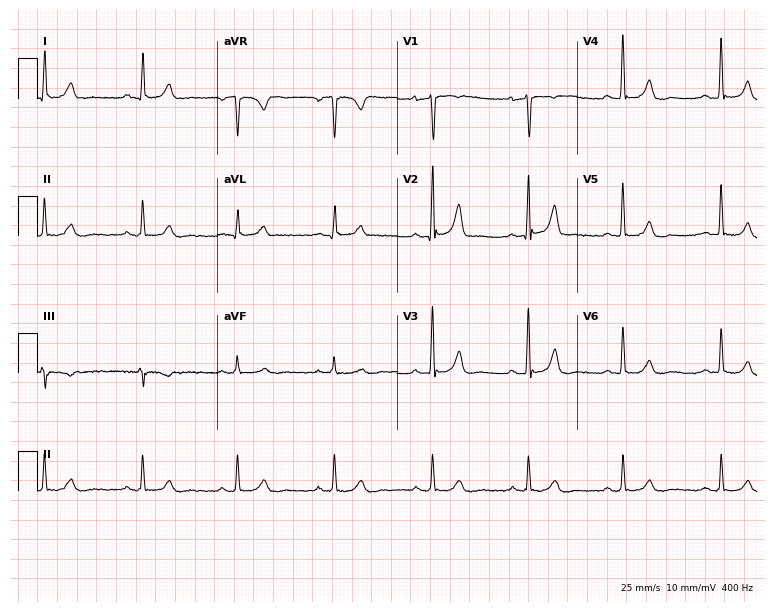
Electrocardiogram, a 57-year-old male patient. Of the six screened findings (first-degree AV block, right bundle branch block (RBBB), left bundle branch block (LBBB), sinus bradycardia, atrial fibrillation (AF), sinus tachycardia), none is recorded. Only these six findings were labelled.